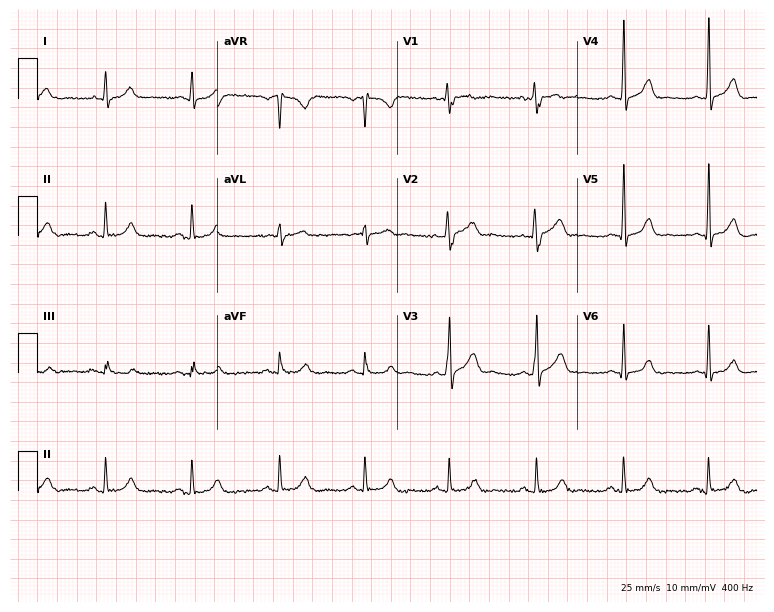
Resting 12-lead electrocardiogram (7.3-second recording at 400 Hz). Patient: a 37-year-old male. None of these six findings is recorded: first-degree AV block, right bundle branch block, left bundle branch block, sinus bradycardia, atrial fibrillation, sinus tachycardia.